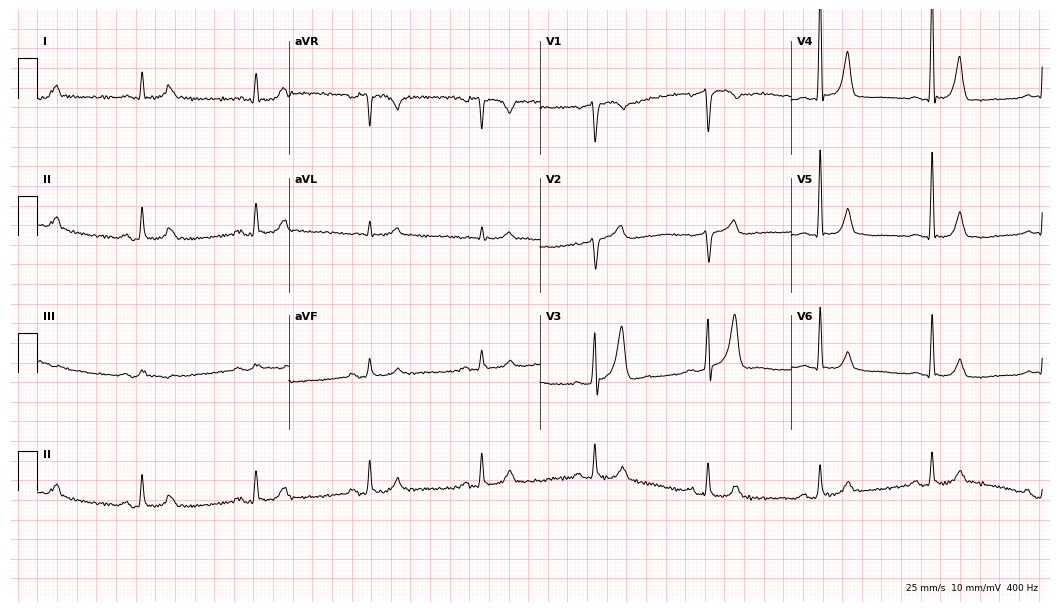
Standard 12-lead ECG recorded from a male patient, 67 years old (10.2-second recording at 400 Hz). Read as a normal ECG.